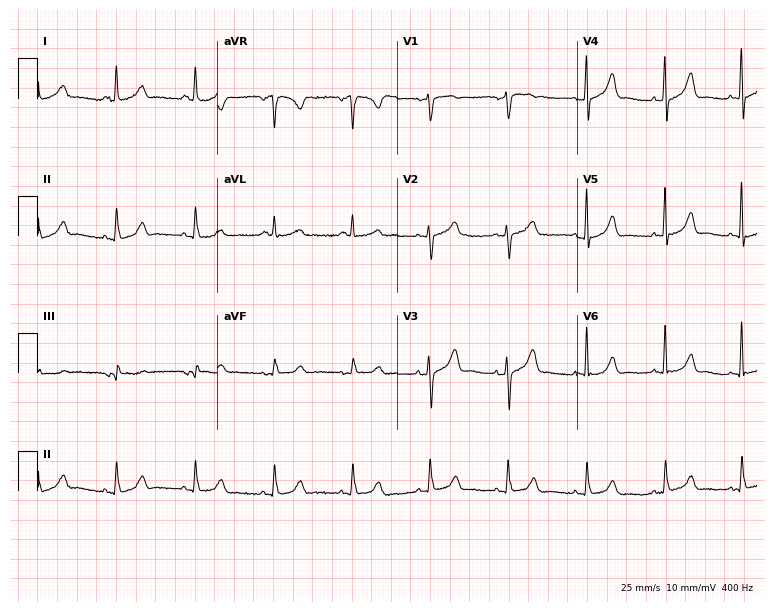
12-lead ECG (7.3-second recording at 400 Hz) from a 72-year-old female. Screened for six findings — first-degree AV block, right bundle branch block, left bundle branch block, sinus bradycardia, atrial fibrillation, sinus tachycardia — none is recorded.